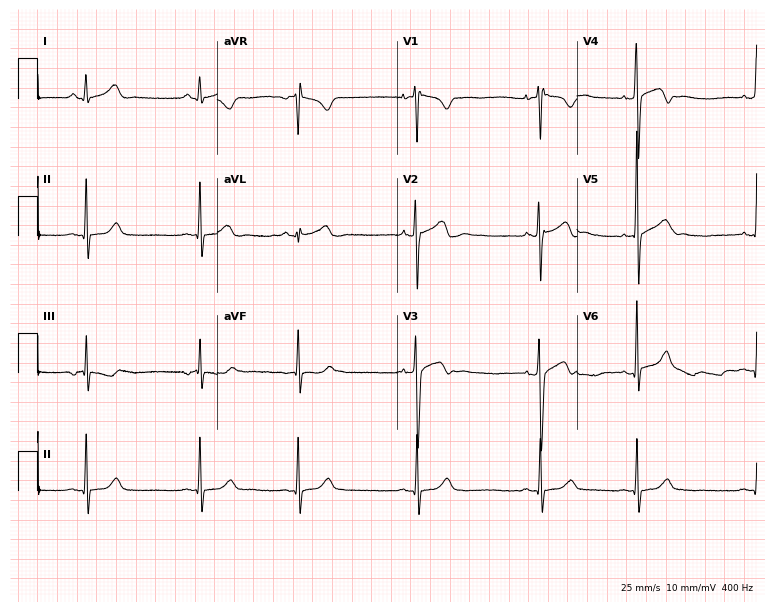
12-lead ECG from an 18-year-old man. Screened for six findings — first-degree AV block, right bundle branch block (RBBB), left bundle branch block (LBBB), sinus bradycardia, atrial fibrillation (AF), sinus tachycardia — none is recorded.